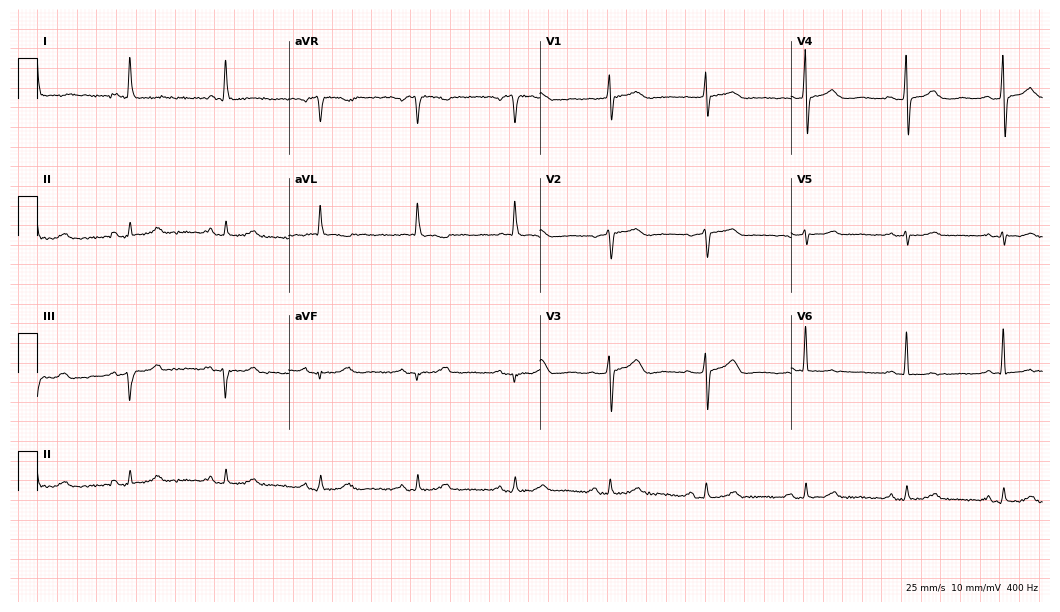
Resting 12-lead electrocardiogram. Patient: a 69-year-old female. None of these six findings is recorded: first-degree AV block, right bundle branch block, left bundle branch block, sinus bradycardia, atrial fibrillation, sinus tachycardia. Findings outside these six are not listed.